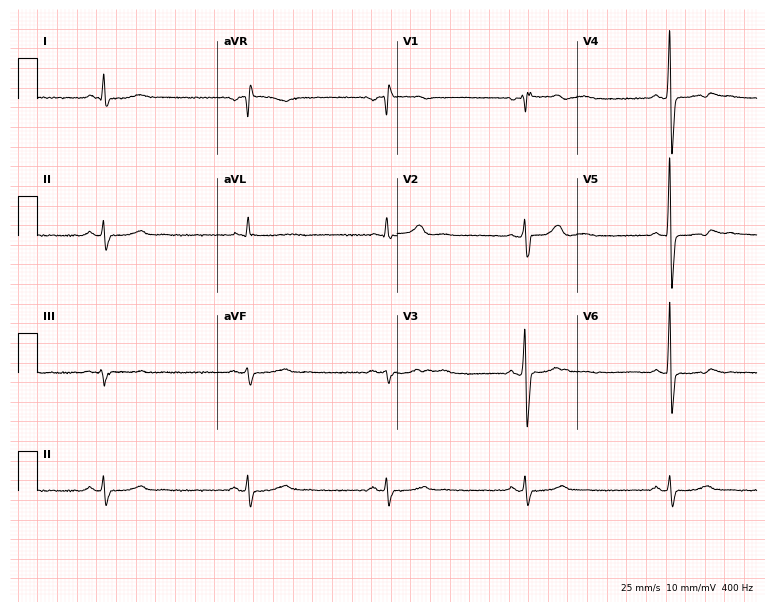
12-lead ECG from a 63-year-old man. Findings include sinus bradycardia (a sinus rate of 50 beats per minute or less).